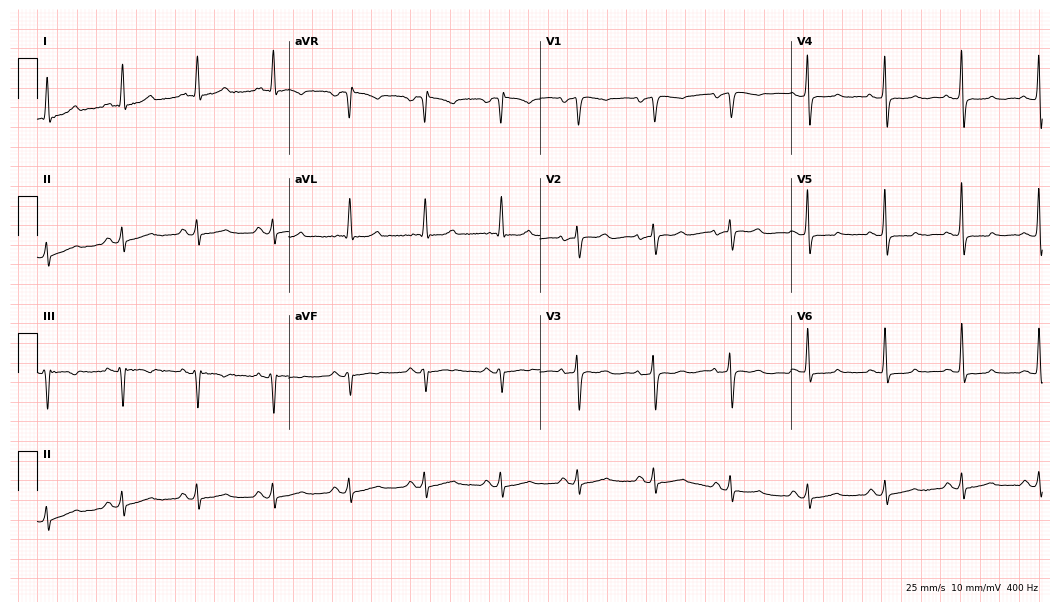
Resting 12-lead electrocardiogram (10.2-second recording at 400 Hz). Patient: a 73-year-old female. None of these six findings is recorded: first-degree AV block, right bundle branch block, left bundle branch block, sinus bradycardia, atrial fibrillation, sinus tachycardia.